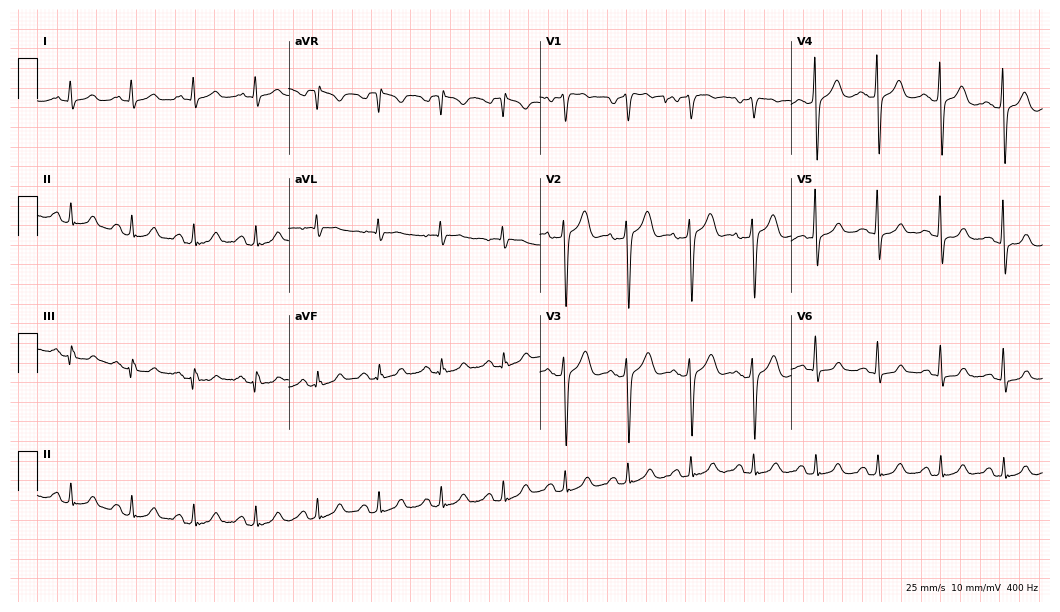
Resting 12-lead electrocardiogram. Patient: a male, 59 years old. None of these six findings is recorded: first-degree AV block, right bundle branch block, left bundle branch block, sinus bradycardia, atrial fibrillation, sinus tachycardia.